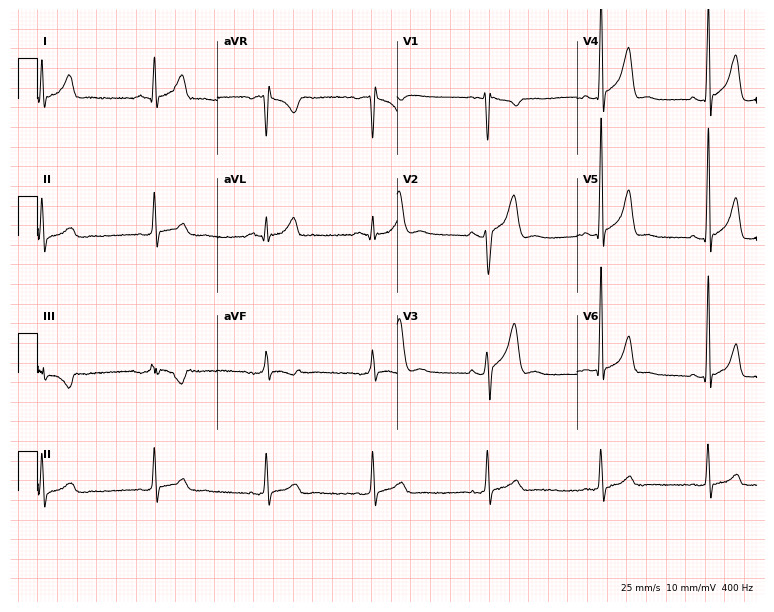
ECG — a 31-year-old man. Screened for six findings — first-degree AV block, right bundle branch block (RBBB), left bundle branch block (LBBB), sinus bradycardia, atrial fibrillation (AF), sinus tachycardia — none is recorded. Only these six findings were labelled.